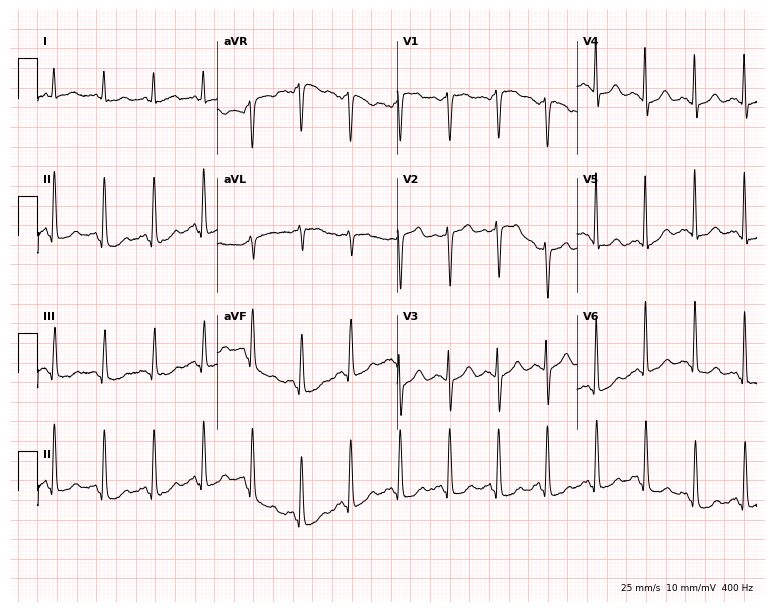
ECG — a 51-year-old female patient. Findings include sinus tachycardia (a sinus rate of 100 beats per minute or more).